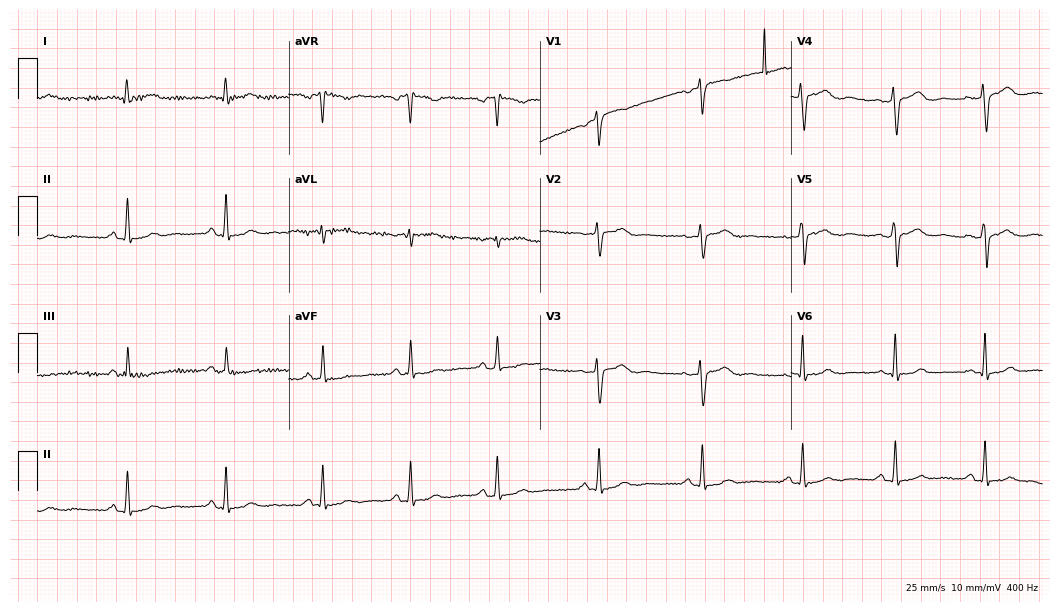
Resting 12-lead electrocardiogram. Patient: a 35-year-old female. None of these six findings is recorded: first-degree AV block, right bundle branch block, left bundle branch block, sinus bradycardia, atrial fibrillation, sinus tachycardia.